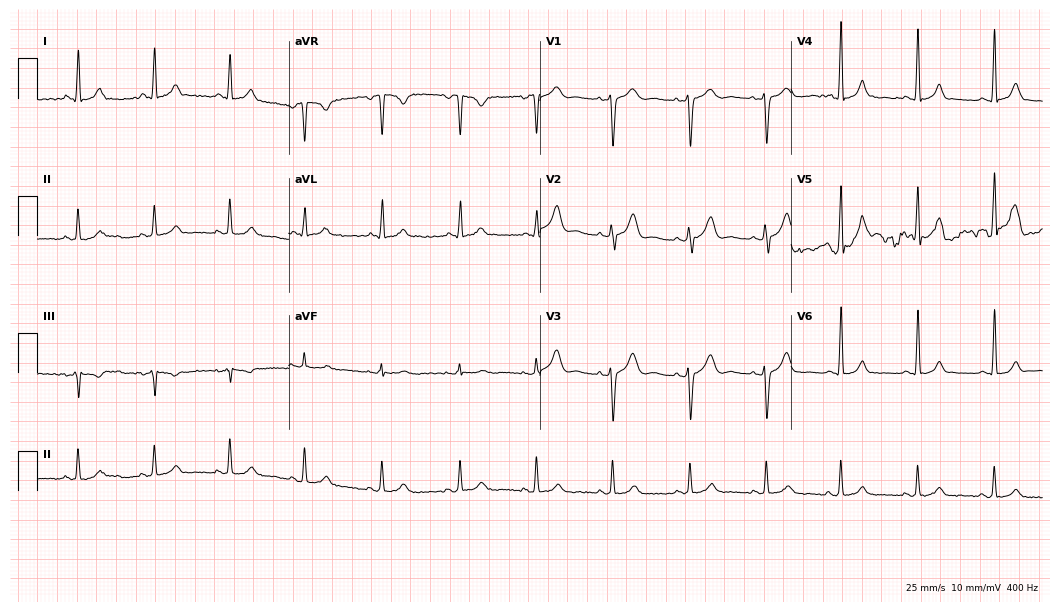
12-lead ECG from a male, 32 years old (10.2-second recording at 400 Hz). Recorded interpretation: within normal limits.